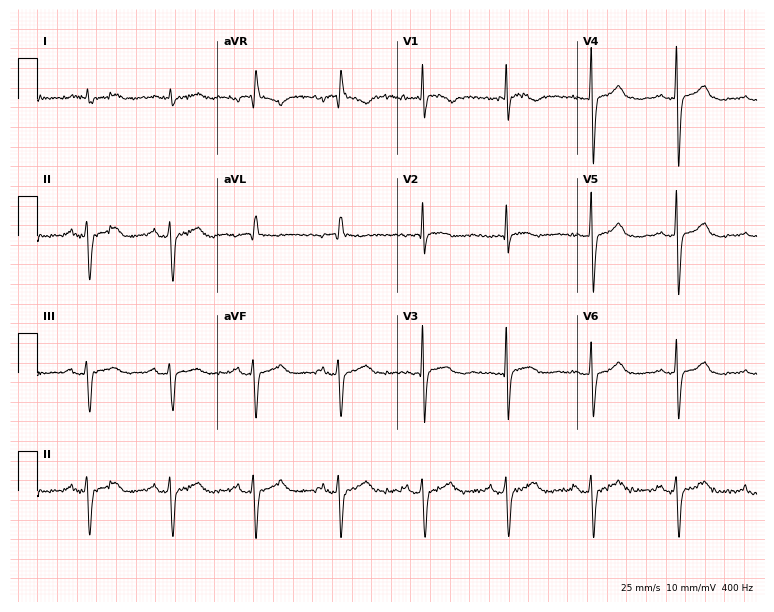
Electrocardiogram (7.3-second recording at 400 Hz), a woman, 79 years old. Of the six screened findings (first-degree AV block, right bundle branch block, left bundle branch block, sinus bradycardia, atrial fibrillation, sinus tachycardia), none is recorded. Only these six findings were labelled.